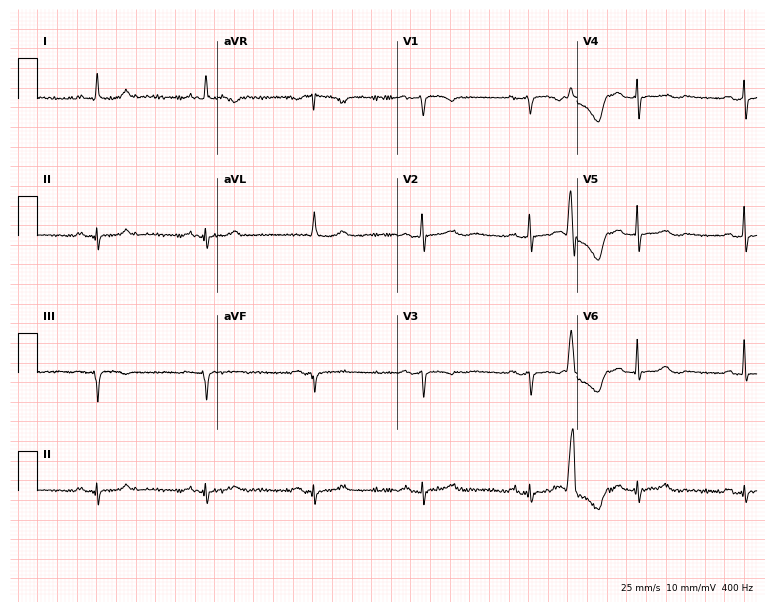
Resting 12-lead electrocardiogram (7.3-second recording at 400 Hz). Patient: a 77-year-old female. None of these six findings is recorded: first-degree AV block, right bundle branch block, left bundle branch block, sinus bradycardia, atrial fibrillation, sinus tachycardia.